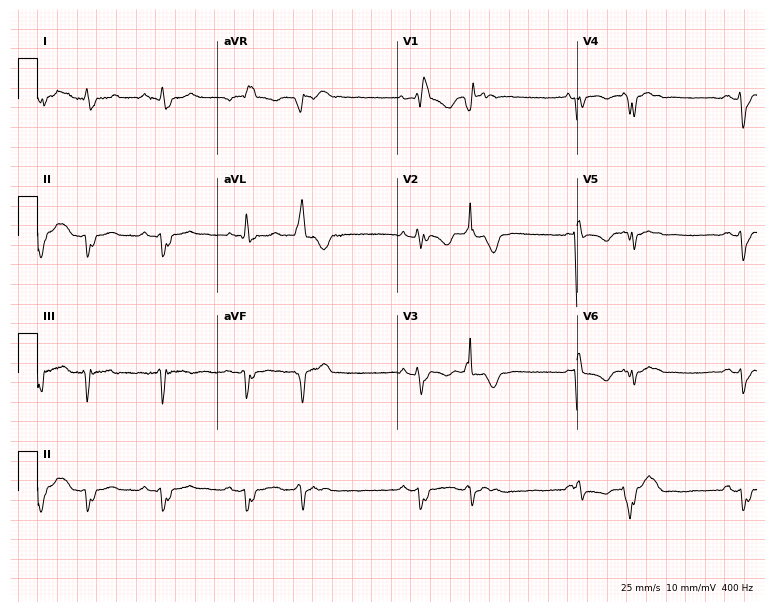
ECG (7.3-second recording at 400 Hz) — a 44-year-old female. Findings include right bundle branch block.